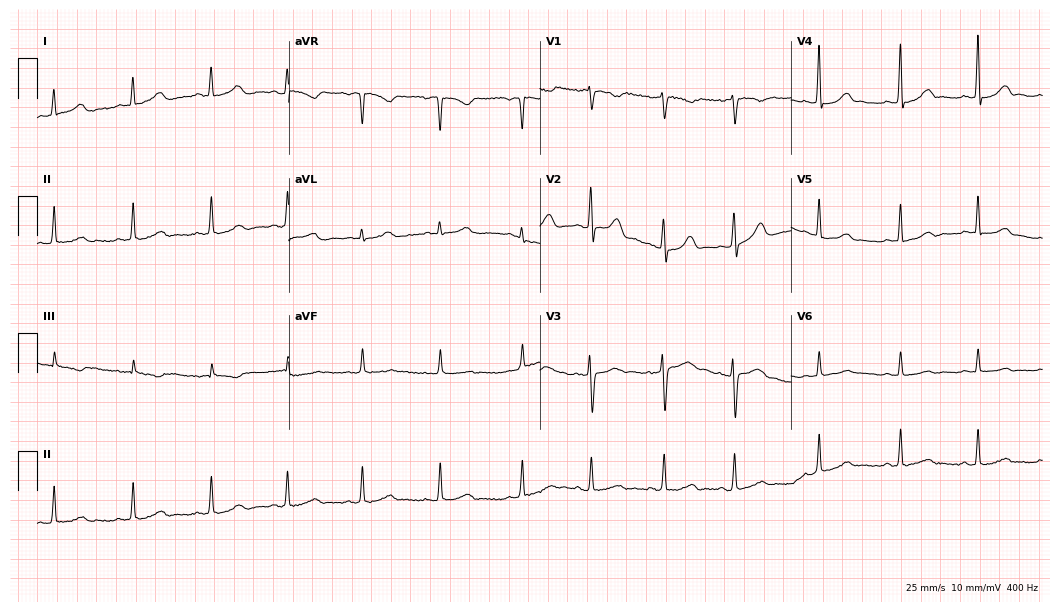
ECG — a 26-year-old female patient. Labelled as a normal ECG.